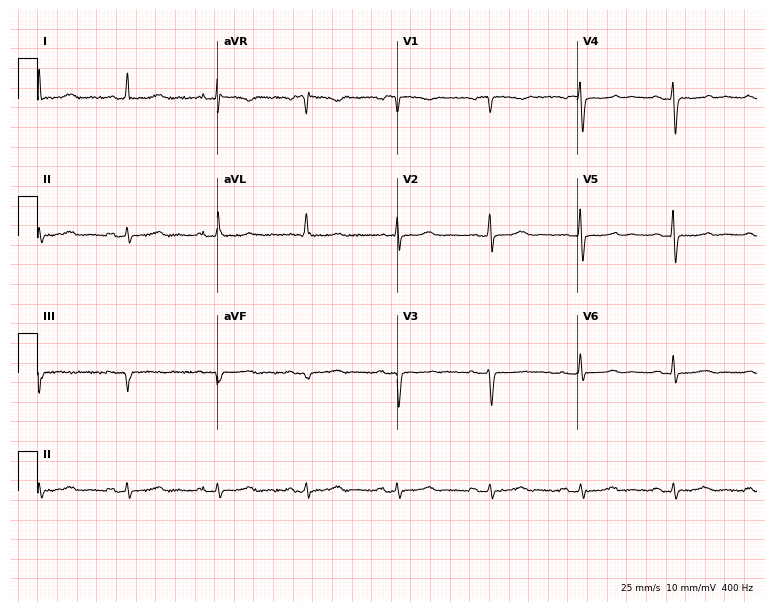
Resting 12-lead electrocardiogram. Patient: a female, 64 years old. Read as a normal ECG.